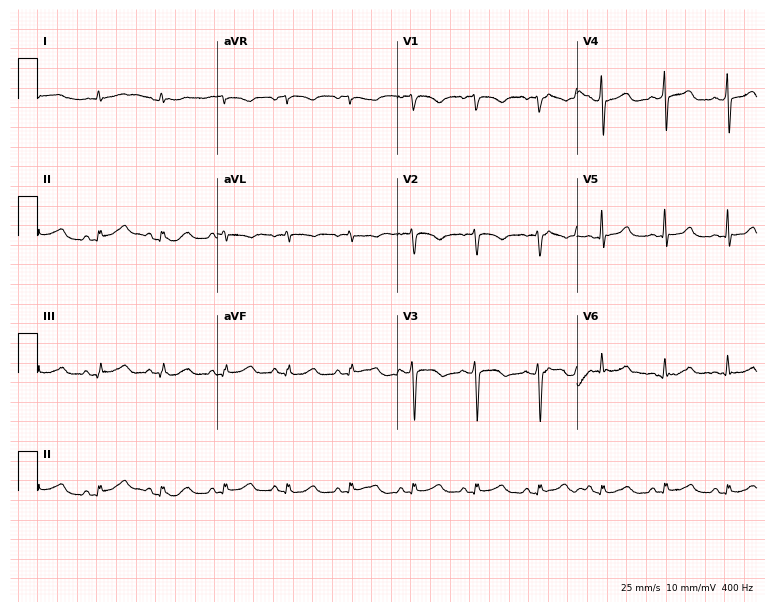
12-lead ECG from a man, 37 years old. Labelled as a normal ECG.